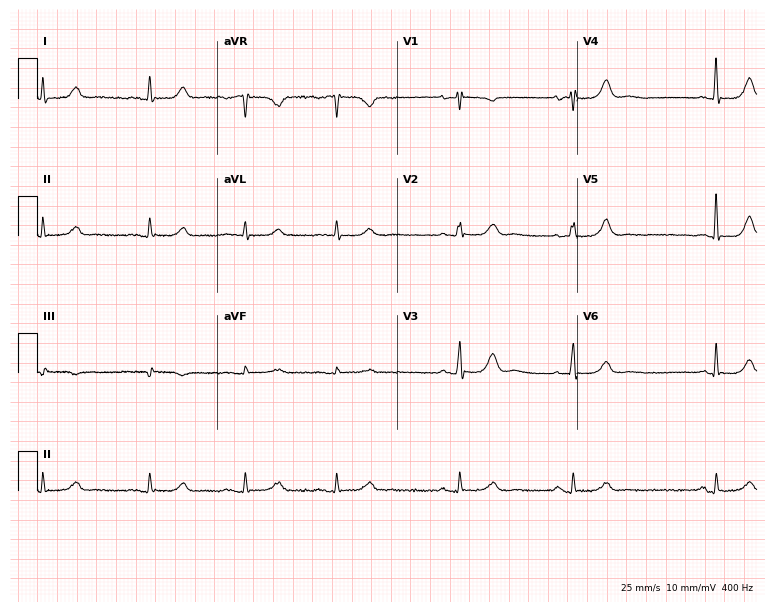
Electrocardiogram (7.3-second recording at 400 Hz), a female patient, 77 years old. Overall reading on record: normal ECG.